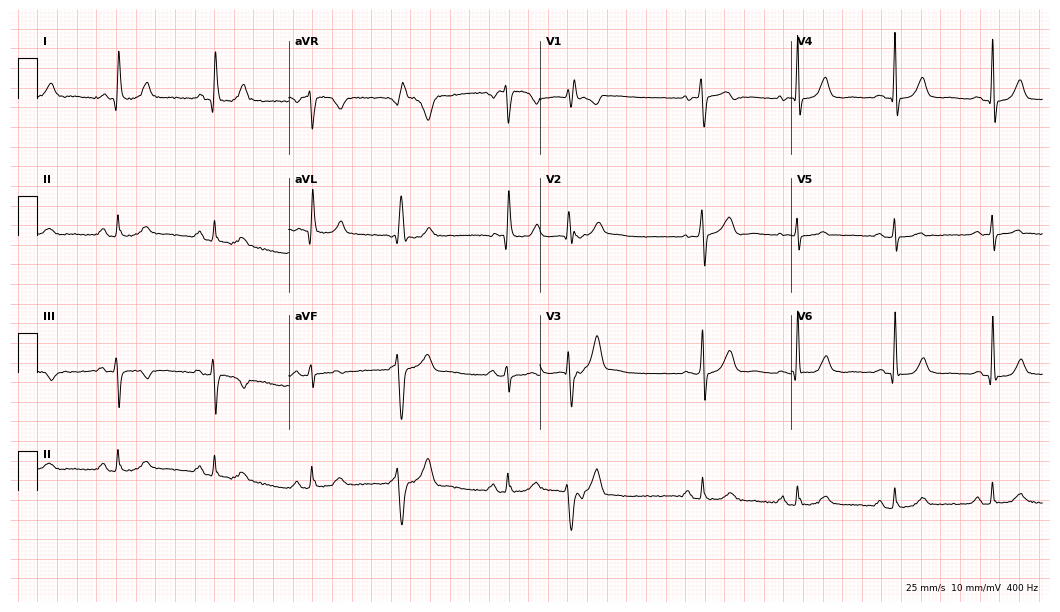
Resting 12-lead electrocardiogram. Patient: a 69-year-old man. Read as a normal ECG.